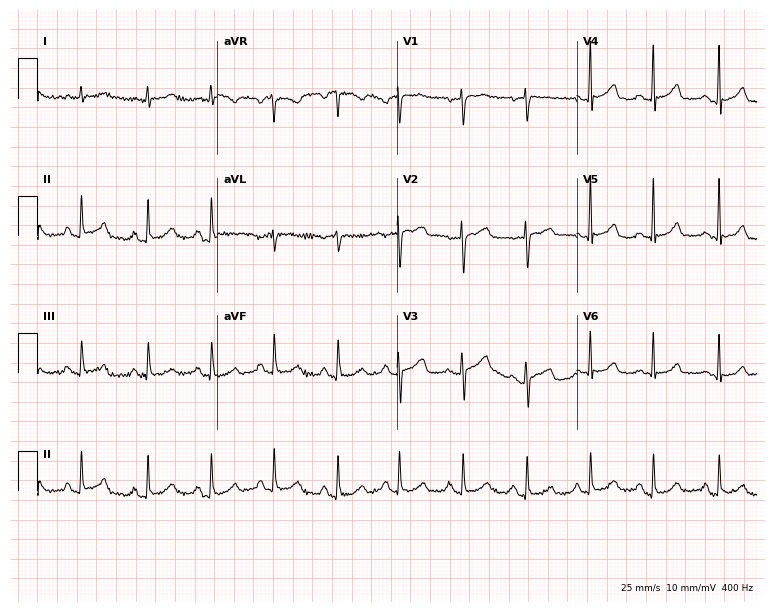
Resting 12-lead electrocardiogram (7.3-second recording at 400 Hz). Patient: a woman, 58 years old. Read as a normal ECG.